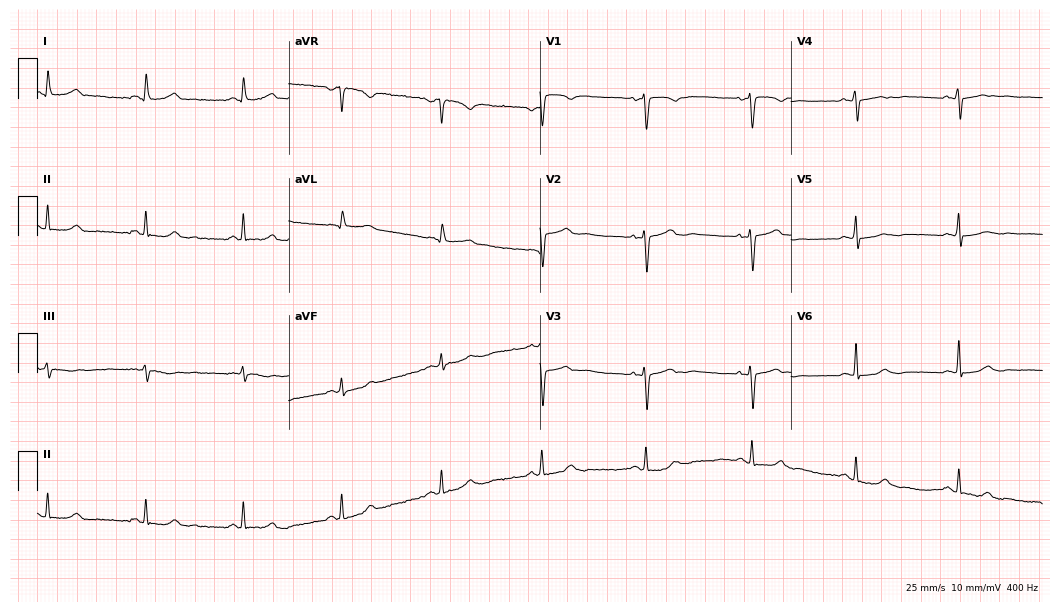
12-lead ECG from a female patient, 53 years old. Recorded interpretation: within normal limits.